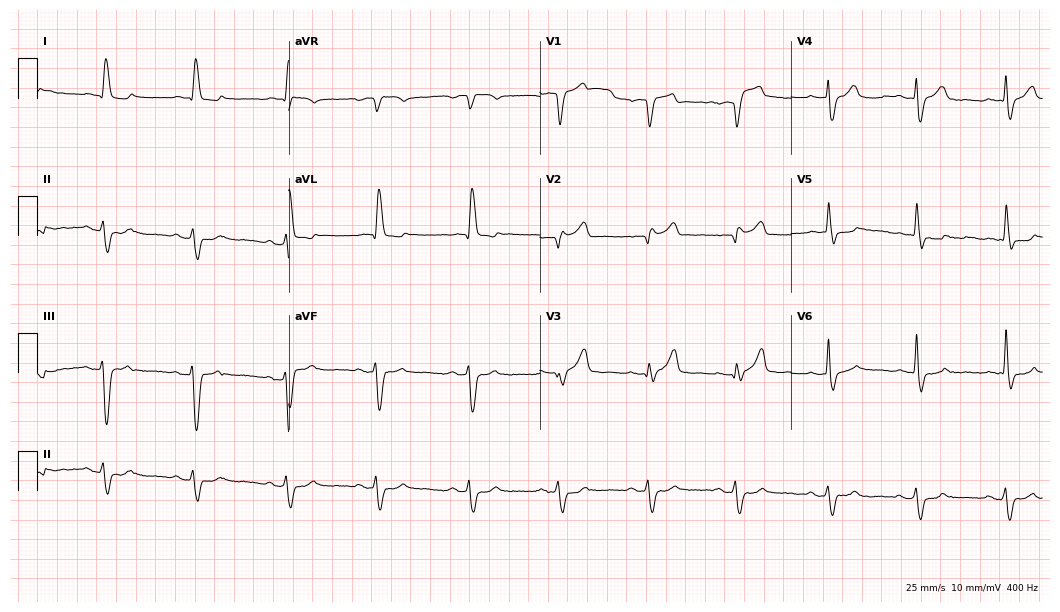
ECG (10.2-second recording at 400 Hz) — a male, 85 years old. Screened for six findings — first-degree AV block, right bundle branch block (RBBB), left bundle branch block (LBBB), sinus bradycardia, atrial fibrillation (AF), sinus tachycardia — none is recorded. Findings outside these six are not listed.